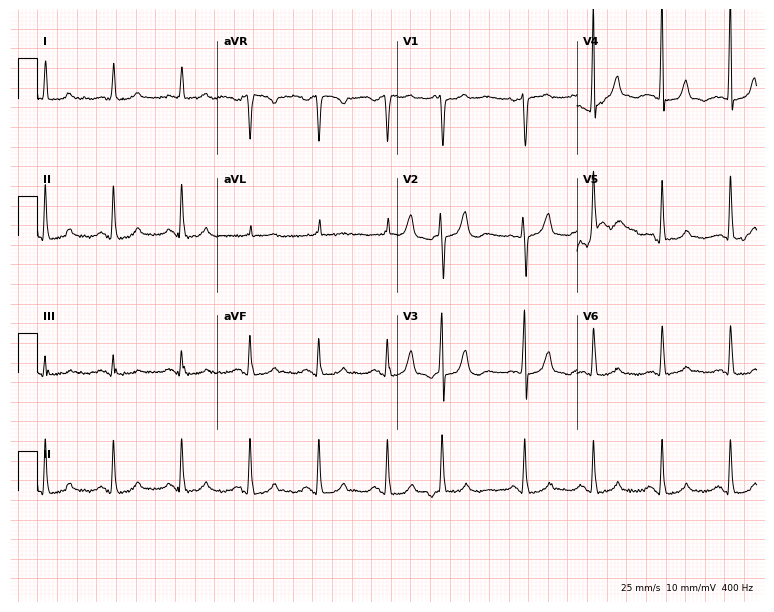
12-lead ECG from a woman, 83 years old (7.3-second recording at 400 Hz). Recorded interpretation: within normal limits.